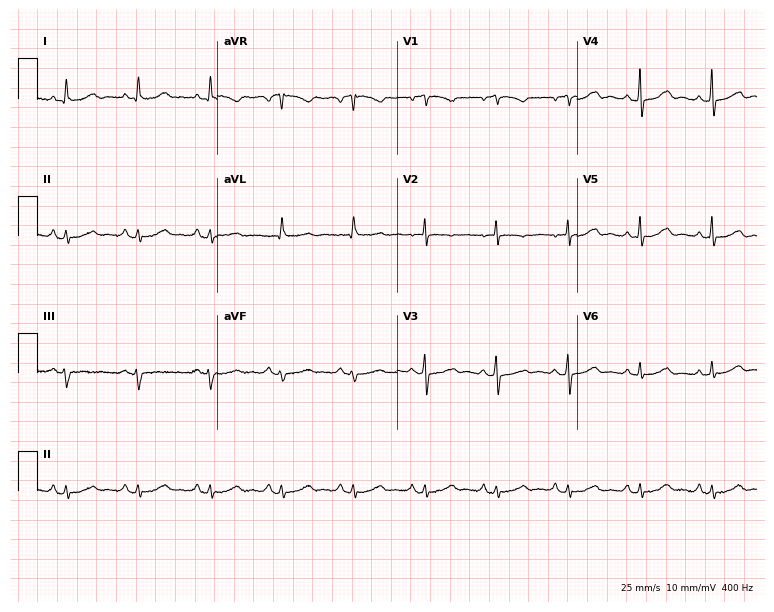
12-lead ECG from a female, 75 years old. Recorded interpretation: within normal limits.